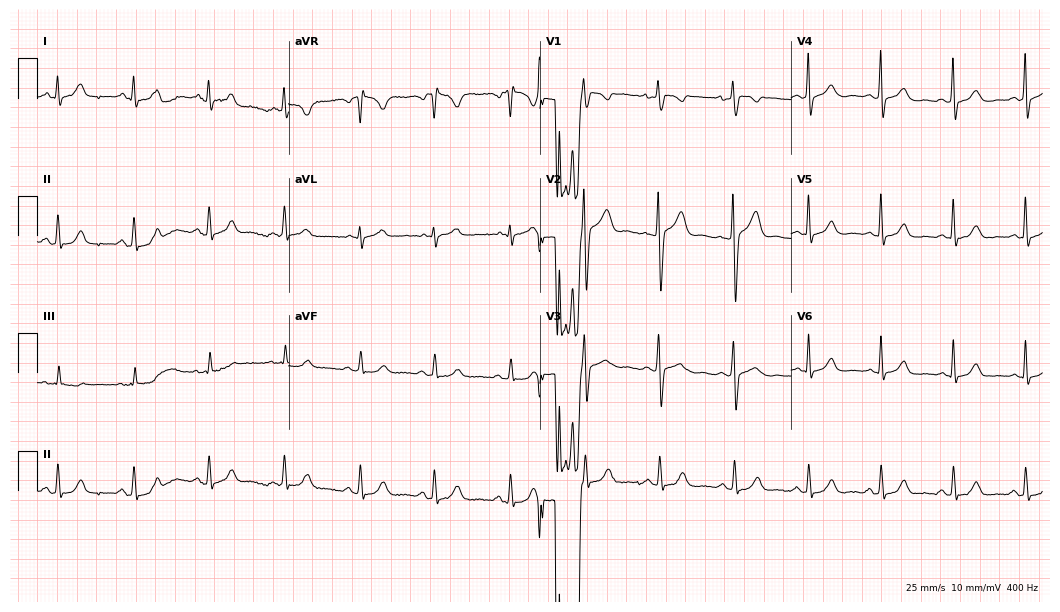
Standard 12-lead ECG recorded from a male, 37 years old (10.2-second recording at 400 Hz). Read as a normal ECG.